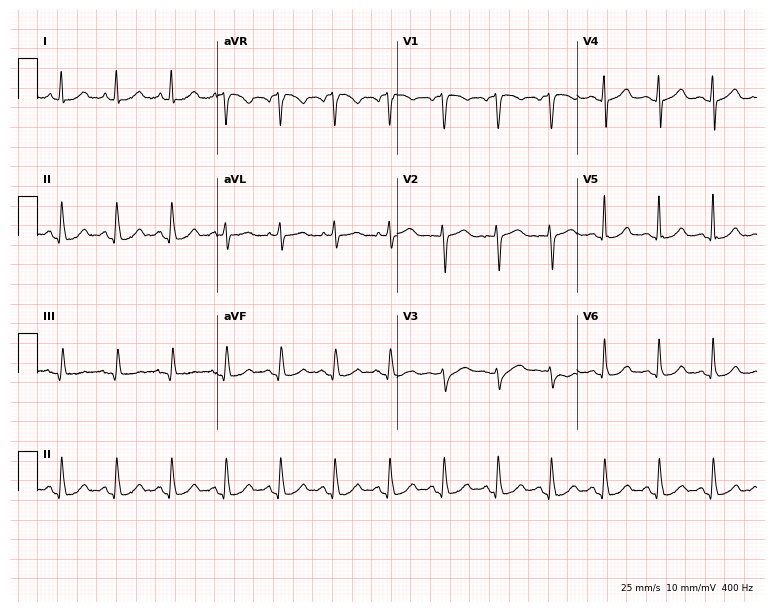
12-lead ECG from a 48-year-old female patient (7.3-second recording at 400 Hz). Shows sinus tachycardia (a sinus rate of 100 beats per minute or more).